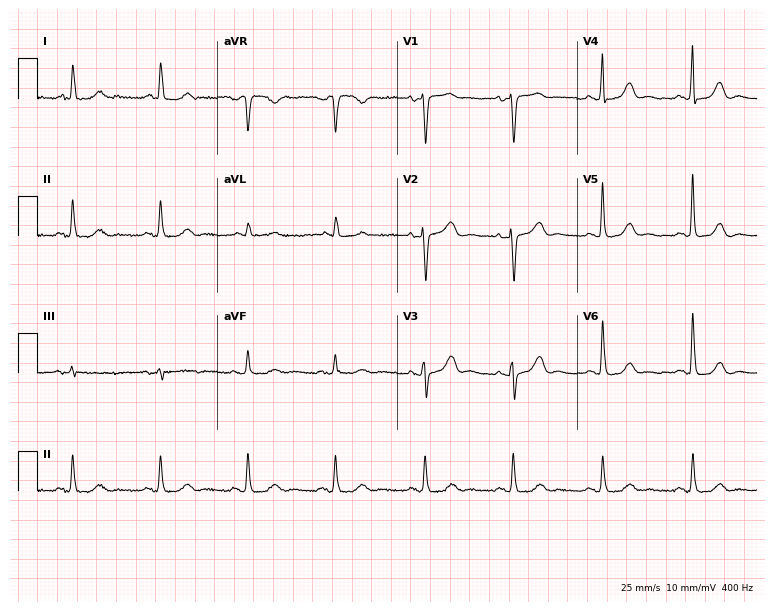
12-lead ECG from a 73-year-old female (7.3-second recording at 400 Hz). Recorded interpretation: within normal limits.